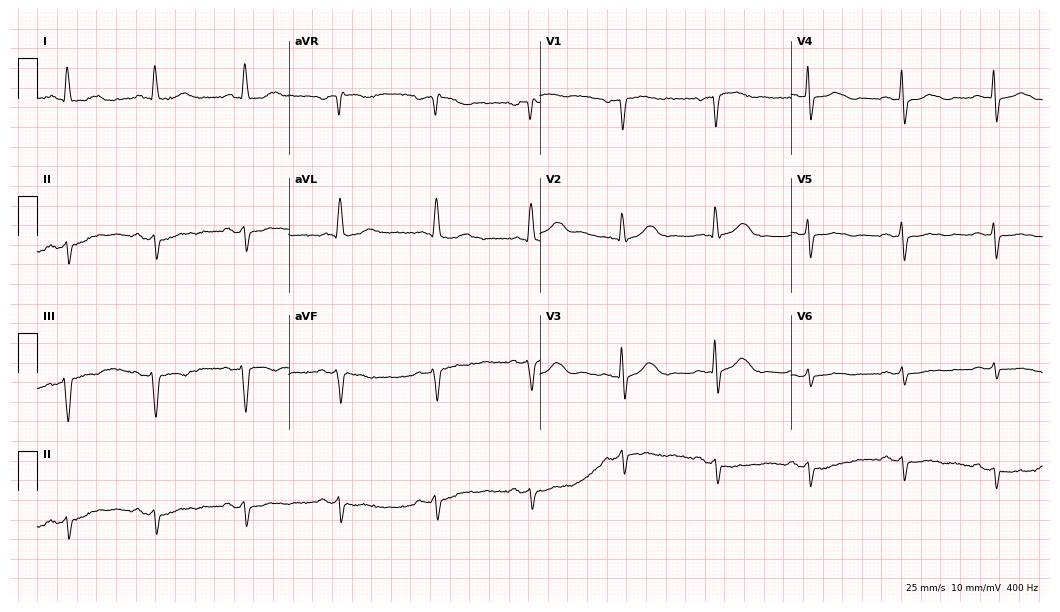
ECG (10.2-second recording at 400 Hz) — a man, 74 years old. Screened for six findings — first-degree AV block, right bundle branch block (RBBB), left bundle branch block (LBBB), sinus bradycardia, atrial fibrillation (AF), sinus tachycardia — none is recorded.